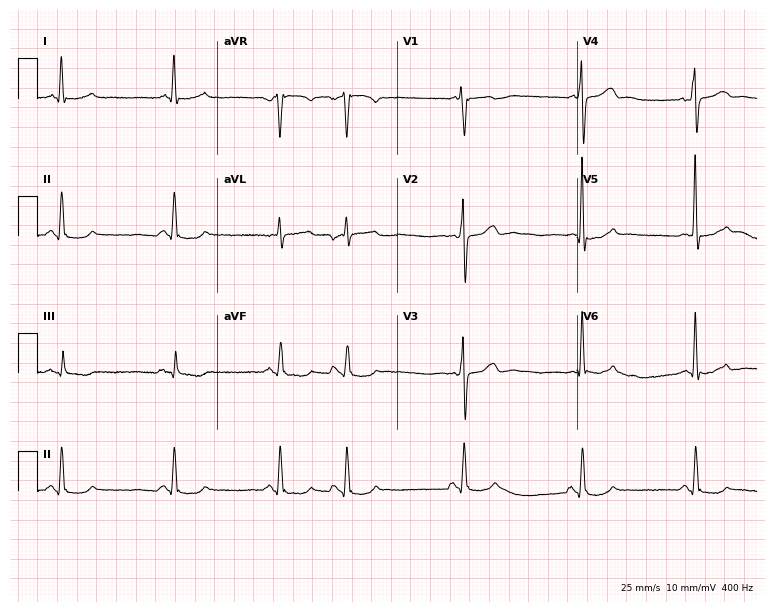
Electrocardiogram, a 52-year-old man. Of the six screened findings (first-degree AV block, right bundle branch block (RBBB), left bundle branch block (LBBB), sinus bradycardia, atrial fibrillation (AF), sinus tachycardia), none is recorded. Other findings, if any, are not listed.